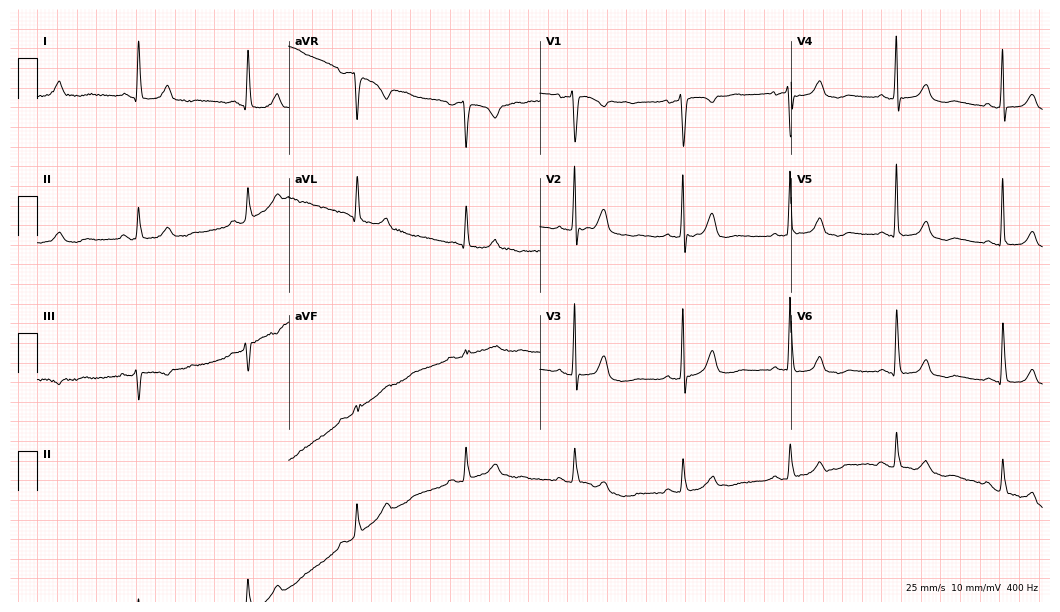
12-lead ECG from a 68-year-old woman (10.2-second recording at 400 Hz). No first-degree AV block, right bundle branch block, left bundle branch block, sinus bradycardia, atrial fibrillation or sinus tachycardia recorded for this tracing. Other findings, if any, are not listed.